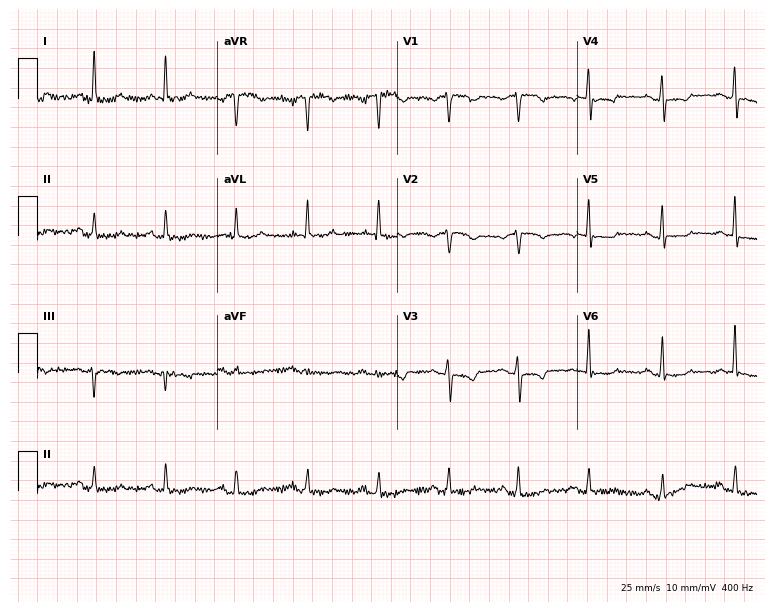
12-lead ECG from a 56-year-old female. No first-degree AV block, right bundle branch block, left bundle branch block, sinus bradycardia, atrial fibrillation or sinus tachycardia recorded for this tracing.